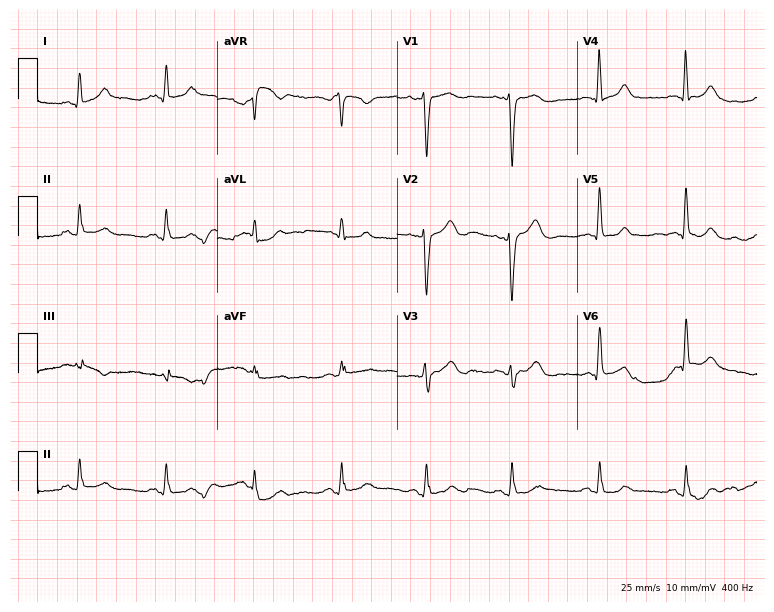
12-lead ECG from a 64-year-old female (7.3-second recording at 400 Hz). No first-degree AV block, right bundle branch block (RBBB), left bundle branch block (LBBB), sinus bradycardia, atrial fibrillation (AF) or sinus tachycardia recorded for this tracing.